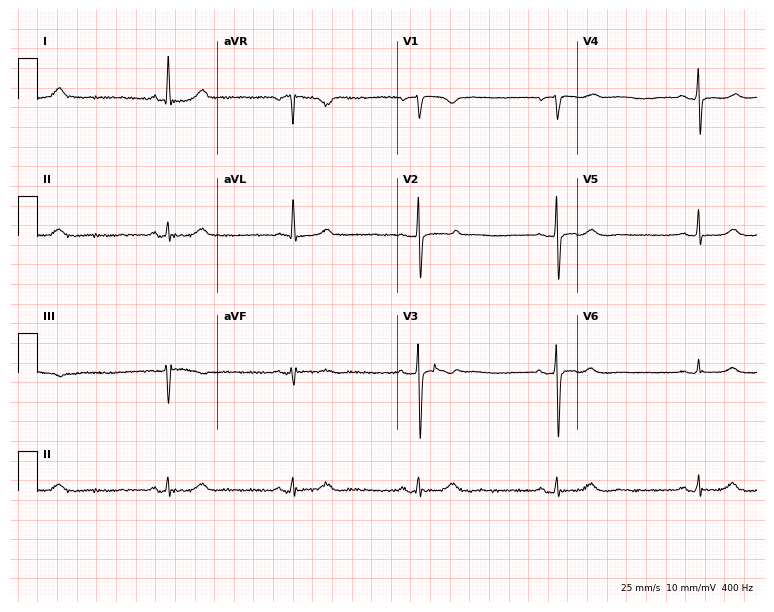
ECG — a female patient, 63 years old. Findings include sinus bradycardia (a sinus rate of 50 beats per minute or less).